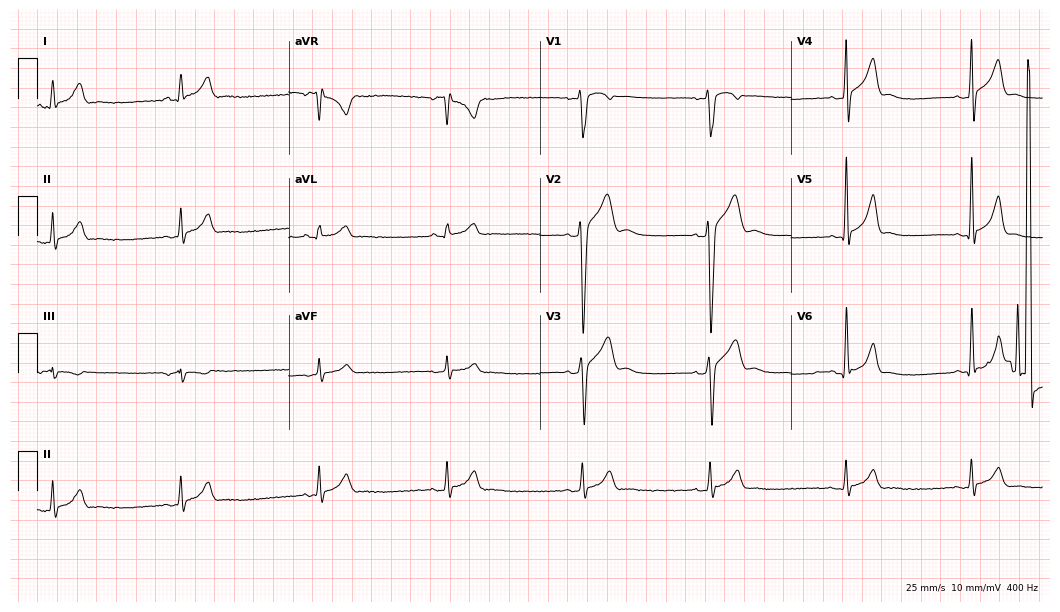
Standard 12-lead ECG recorded from a man, 21 years old. The tracing shows sinus bradycardia (a sinus rate of 50 beats per minute or less).